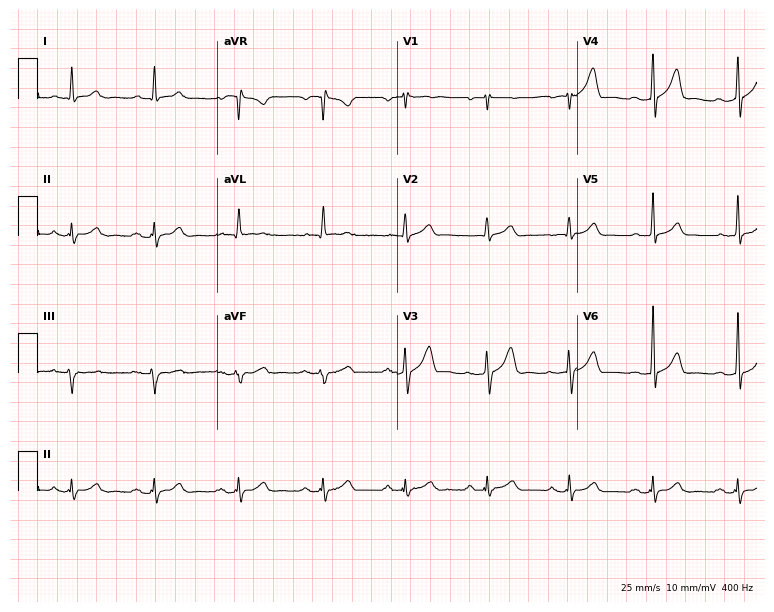
Electrocardiogram (7.3-second recording at 400 Hz), a 57-year-old male patient. Overall reading on record: normal ECG.